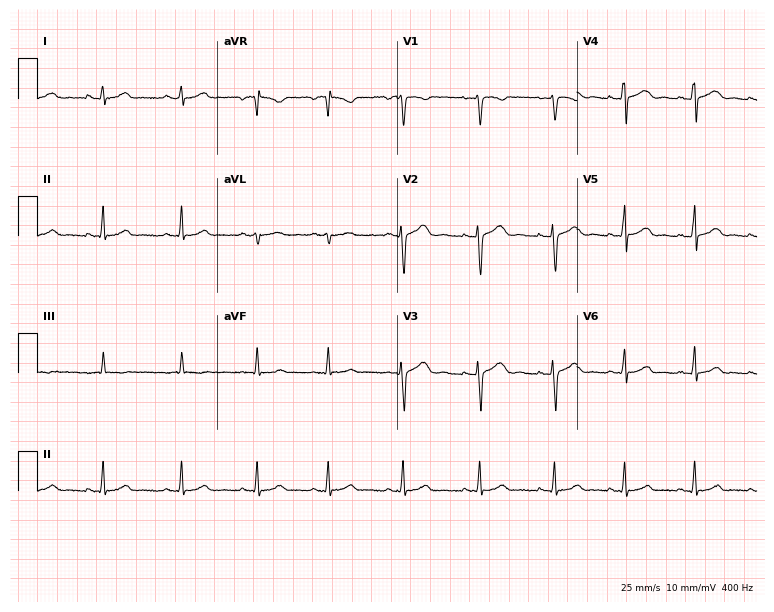
ECG (7.3-second recording at 400 Hz) — a 17-year-old female patient. Screened for six findings — first-degree AV block, right bundle branch block (RBBB), left bundle branch block (LBBB), sinus bradycardia, atrial fibrillation (AF), sinus tachycardia — none is recorded.